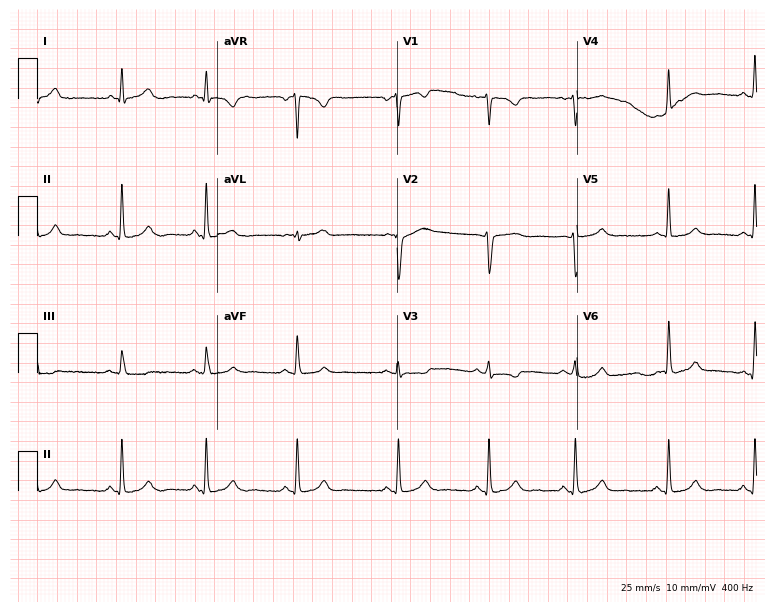
Resting 12-lead electrocardiogram (7.3-second recording at 400 Hz). Patient: a 32-year-old woman. None of these six findings is recorded: first-degree AV block, right bundle branch block (RBBB), left bundle branch block (LBBB), sinus bradycardia, atrial fibrillation (AF), sinus tachycardia. Findings outside these six are not listed.